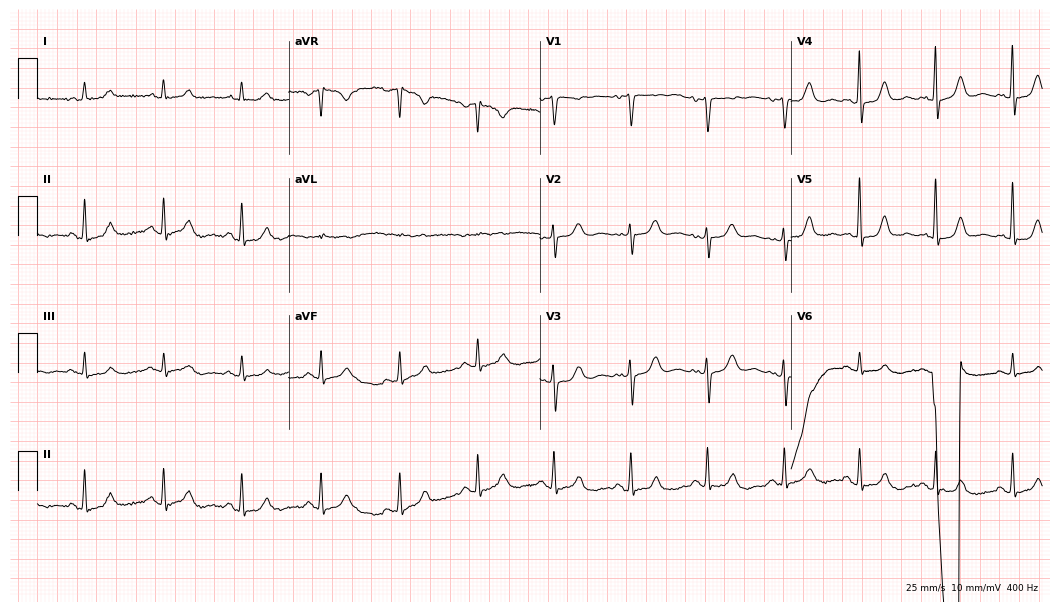
Resting 12-lead electrocardiogram. Patient: a woman, 61 years old. None of these six findings is recorded: first-degree AV block, right bundle branch block (RBBB), left bundle branch block (LBBB), sinus bradycardia, atrial fibrillation (AF), sinus tachycardia. Other findings, if any, are not listed.